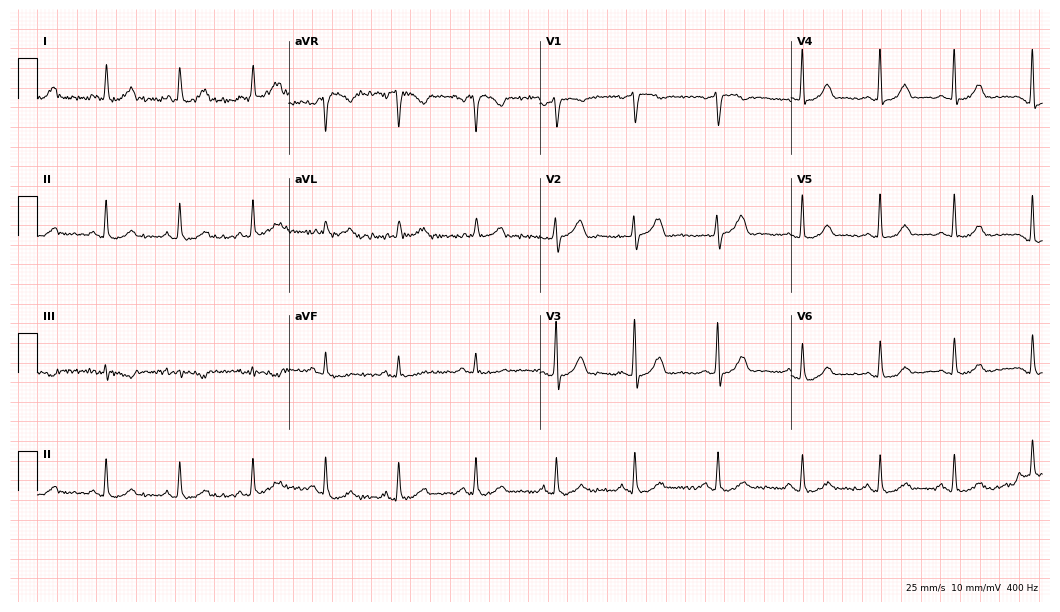
12-lead ECG from a 47-year-old female (10.2-second recording at 400 Hz). Recorded interpretation: within normal limits.